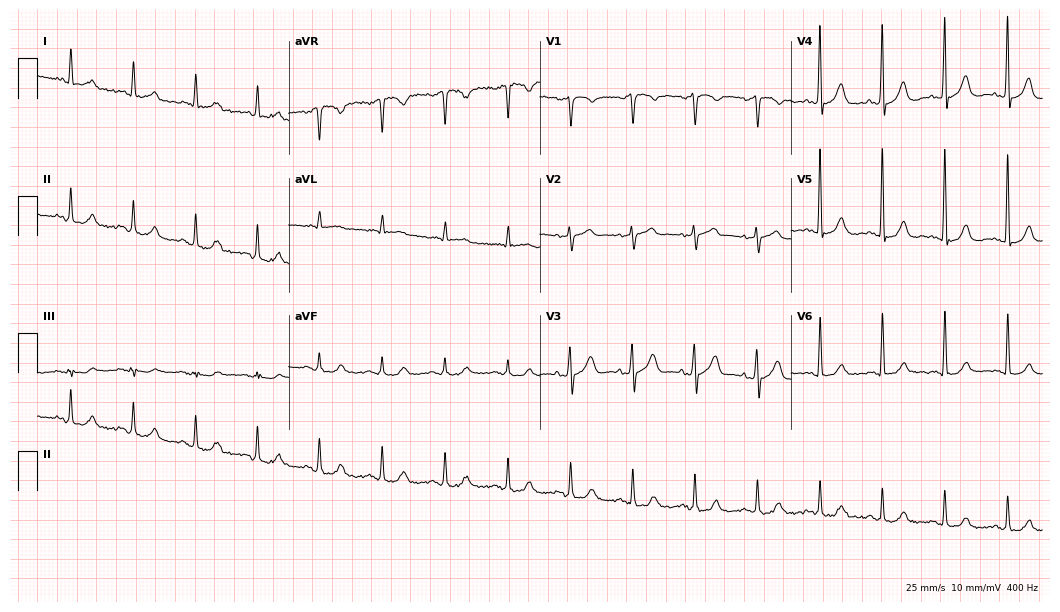
ECG (10.2-second recording at 400 Hz) — a 73-year-old man. Screened for six findings — first-degree AV block, right bundle branch block (RBBB), left bundle branch block (LBBB), sinus bradycardia, atrial fibrillation (AF), sinus tachycardia — none is recorded.